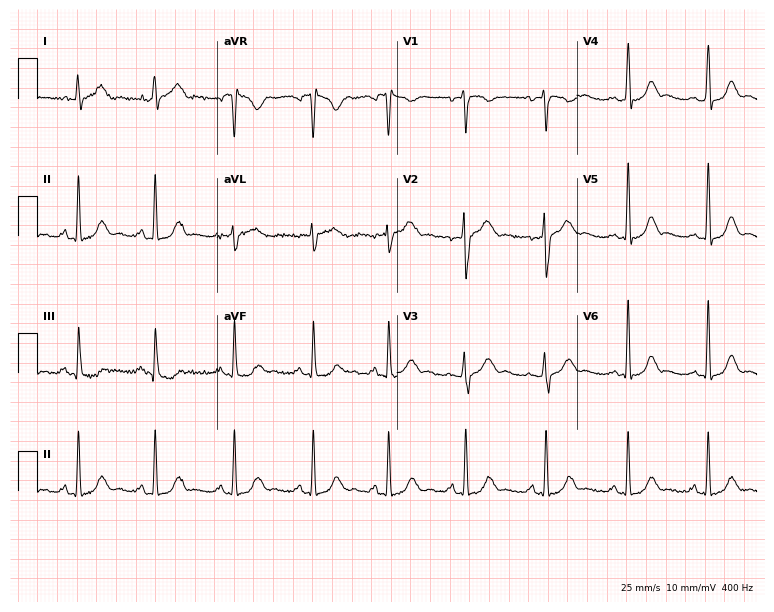
12-lead ECG (7.3-second recording at 400 Hz) from a female patient, 38 years old. Screened for six findings — first-degree AV block, right bundle branch block, left bundle branch block, sinus bradycardia, atrial fibrillation, sinus tachycardia — none is recorded.